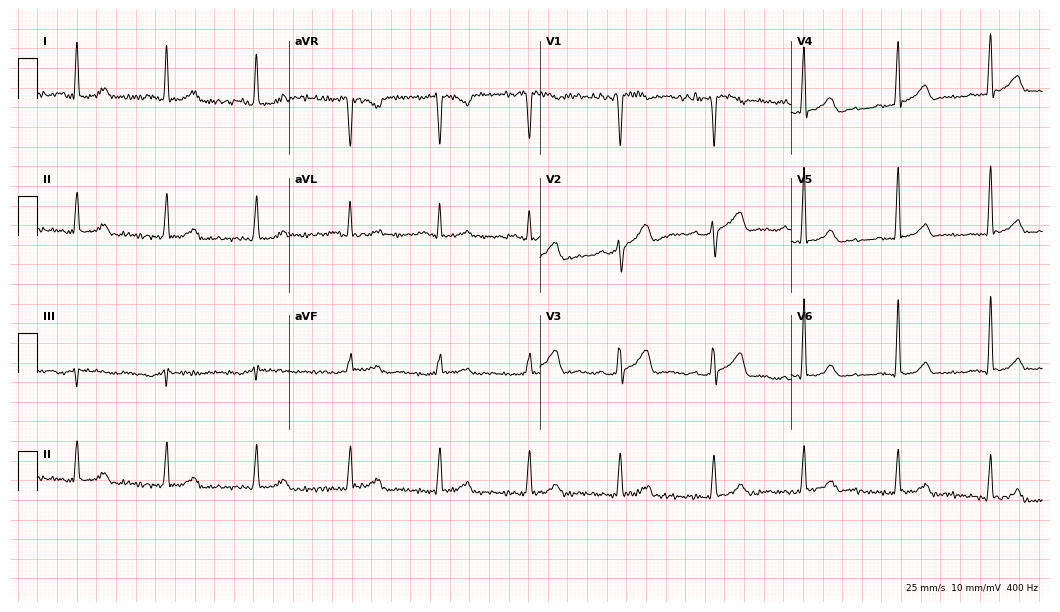
Resting 12-lead electrocardiogram. Patient: a 59-year-old male. None of these six findings is recorded: first-degree AV block, right bundle branch block, left bundle branch block, sinus bradycardia, atrial fibrillation, sinus tachycardia. Only these six findings were labelled.